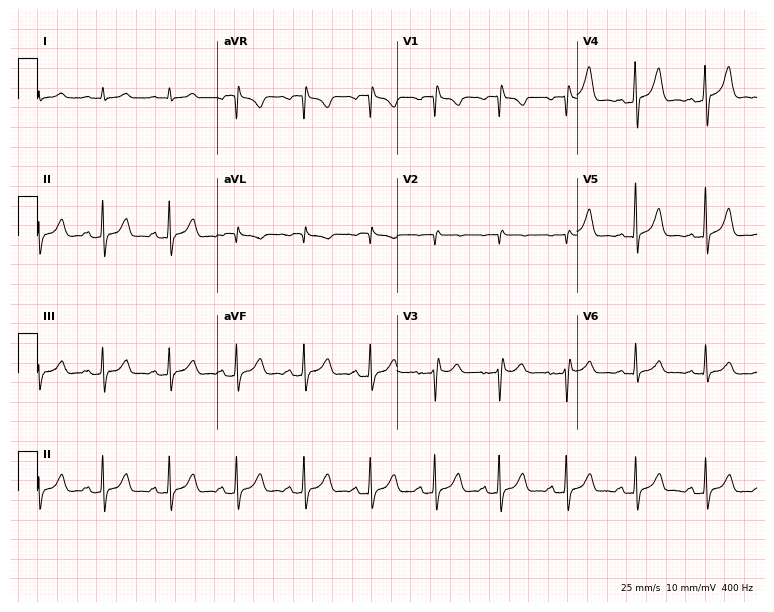
Electrocardiogram (7.3-second recording at 400 Hz), a male, 53 years old. Of the six screened findings (first-degree AV block, right bundle branch block (RBBB), left bundle branch block (LBBB), sinus bradycardia, atrial fibrillation (AF), sinus tachycardia), none is recorded.